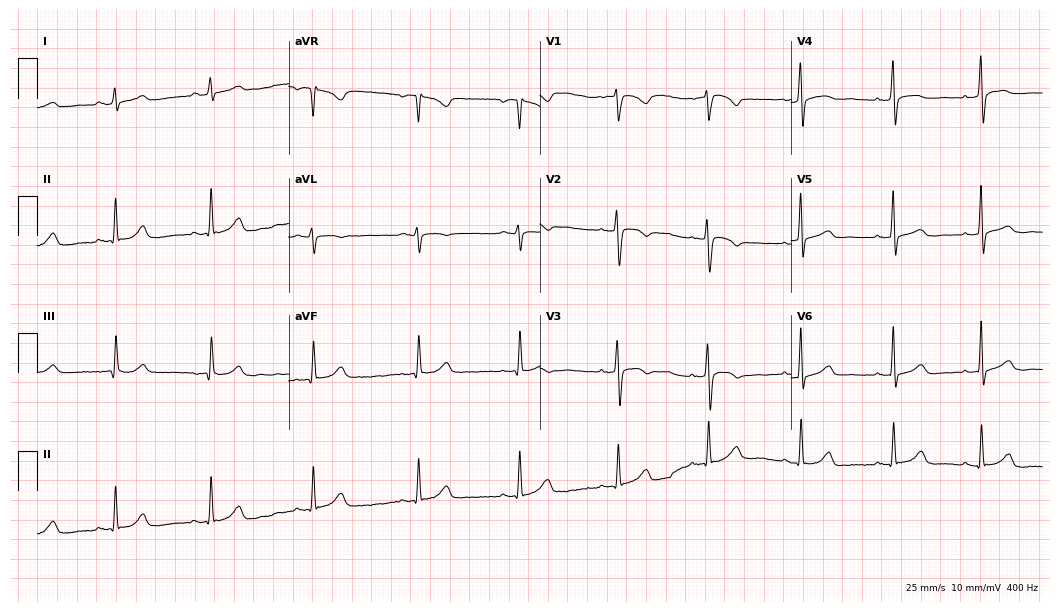
12-lead ECG from a female, 50 years old. No first-degree AV block, right bundle branch block, left bundle branch block, sinus bradycardia, atrial fibrillation or sinus tachycardia recorded for this tracing. Other findings, if any, are not listed.